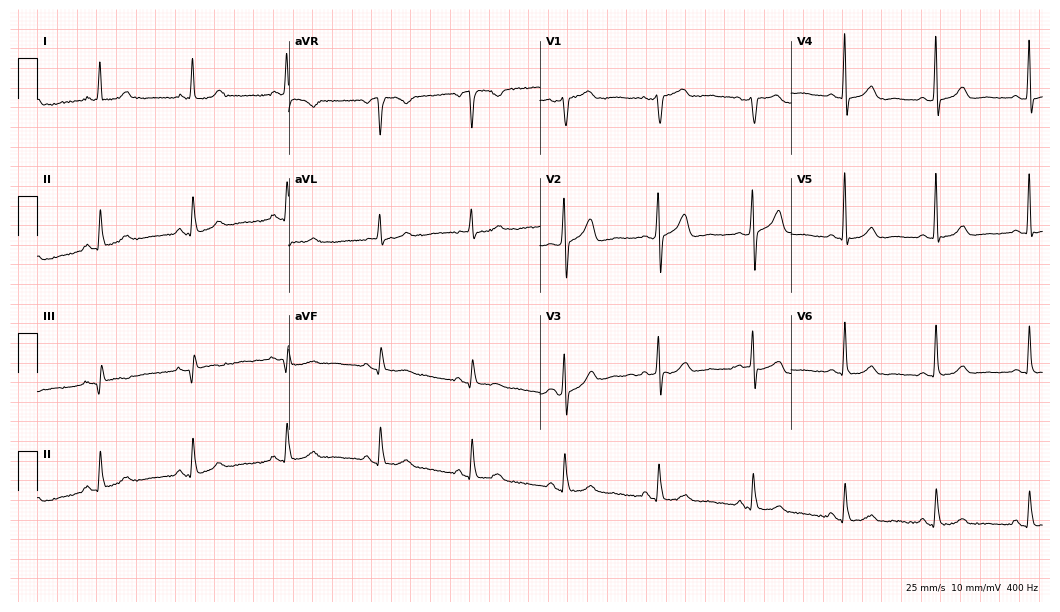
Standard 12-lead ECG recorded from a 64-year-old woman (10.2-second recording at 400 Hz). None of these six findings is recorded: first-degree AV block, right bundle branch block, left bundle branch block, sinus bradycardia, atrial fibrillation, sinus tachycardia. Findings outside these six are not listed.